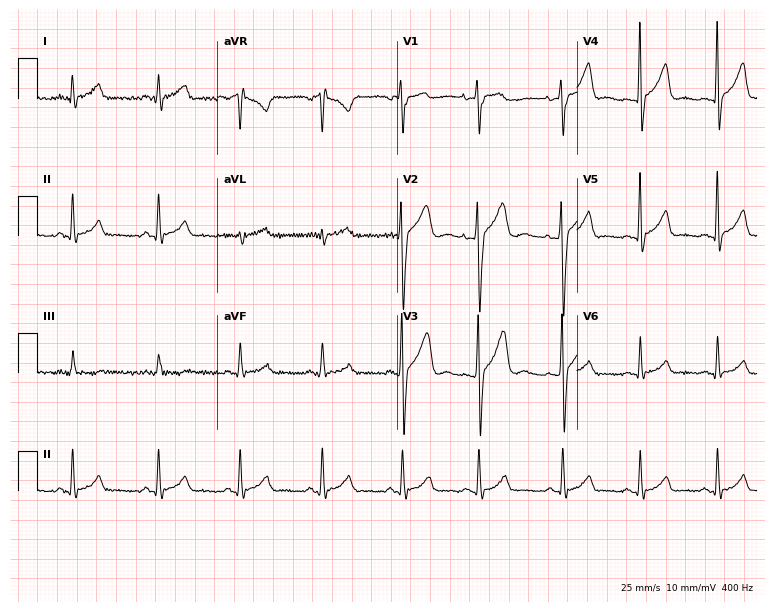
Resting 12-lead electrocardiogram. Patient: a 19-year-old male. None of these six findings is recorded: first-degree AV block, right bundle branch block, left bundle branch block, sinus bradycardia, atrial fibrillation, sinus tachycardia. Findings outside these six are not listed.